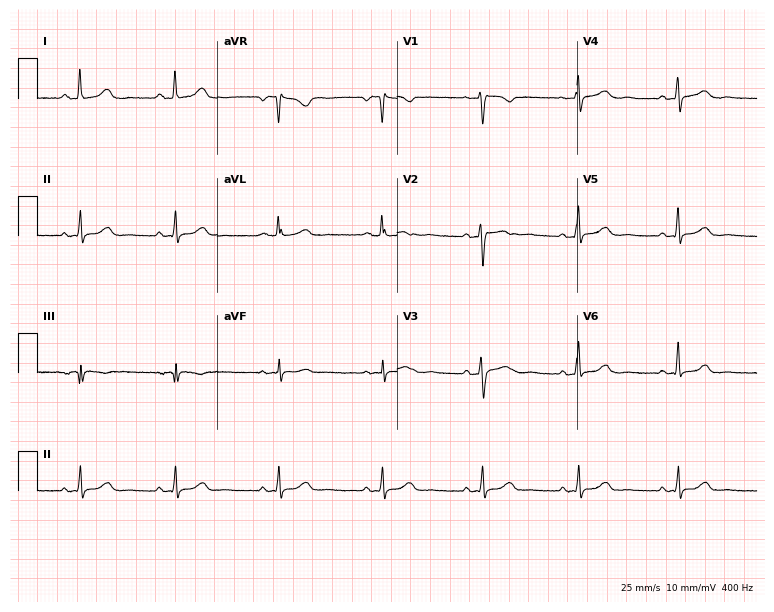
ECG (7.3-second recording at 400 Hz) — a 55-year-old female patient. Labelled as a normal ECG.